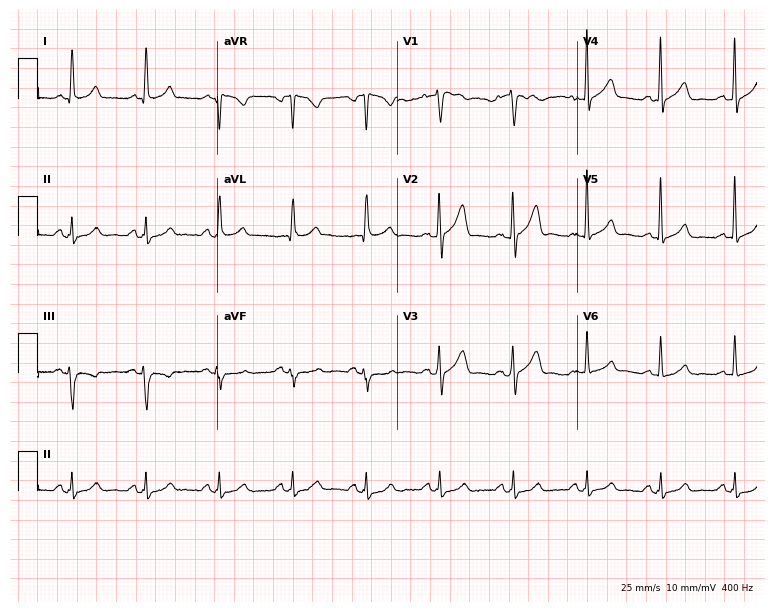
12-lead ECG from a 67-year-old male (7.3-second recording at 400 Hz). Recorded interpretation: within normal limits.